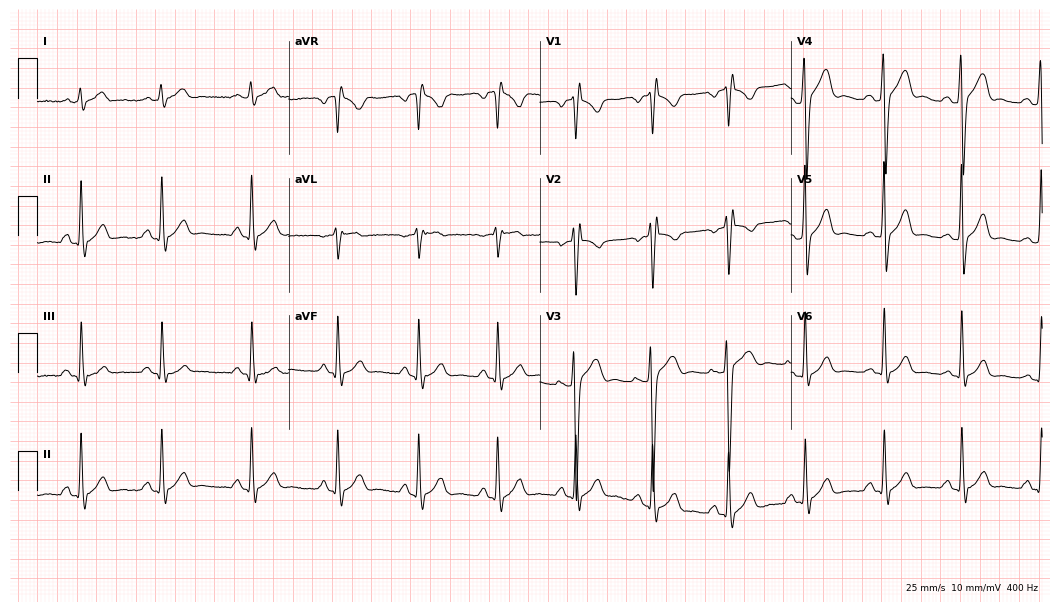
Standard 12-lead ECG recorded from a 30-year-old male (10.2-second recording at 400 Hz). None of these six findings is recorded: first-degree AV block, right bundle branch block (RBBB), left bundle branch block (LBBB), sinus bradycardia, atrial fibrillation (AF), sinus tachycardia.